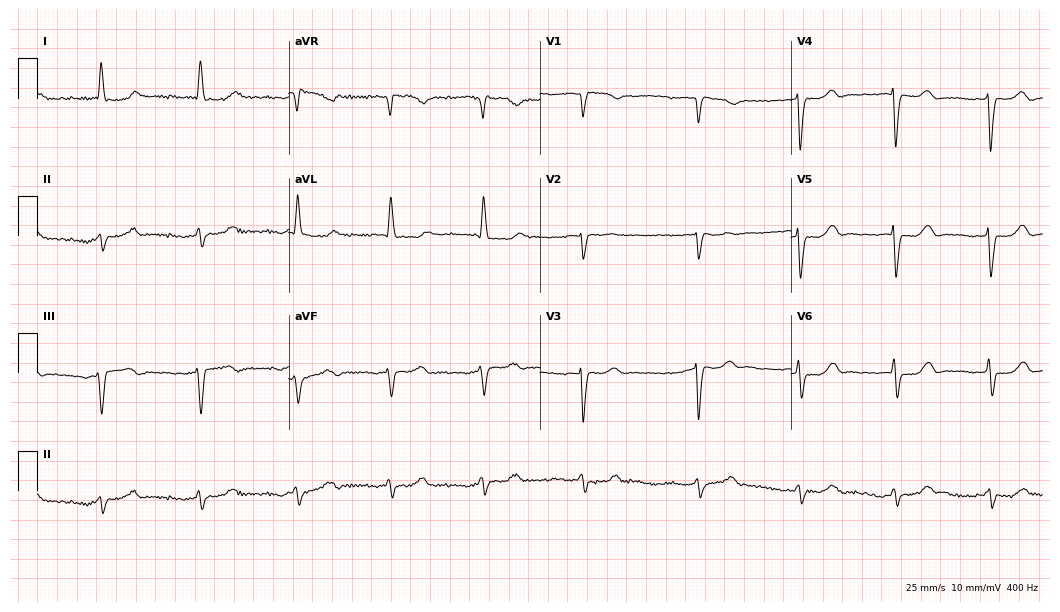
12-lead ECG from a female, 78 years old (10.2-second recording at 400 Hz). No first-degree AV block, right bundle branch block, left bundle branch block, sinus bradycardia, atrial fibrillation or sinus tachycardia recorded for this tracing. Only these six findings were labelled.